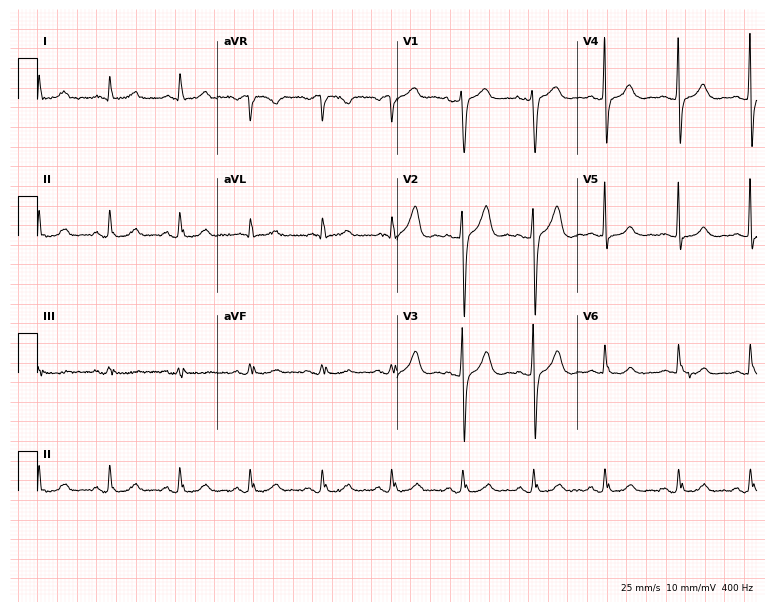
12-lead ECG from a male, 57 years old. No first-degree AV block, right bundle branch block, left bundle branch block, sinus bradycardia, atrial fibrillation or sinus tachycardia recorded for this tracing. Other findings, if any, are not listed.